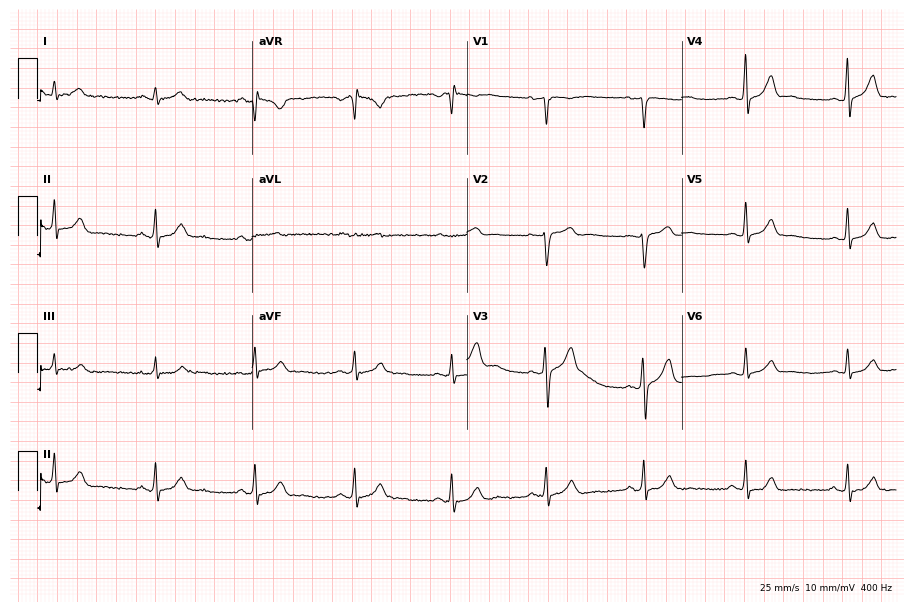
Standard 12-lead ECG recorded from a male patient, 43 years old (8.8-second recording at 400 Hz). Read as a normal ECG.